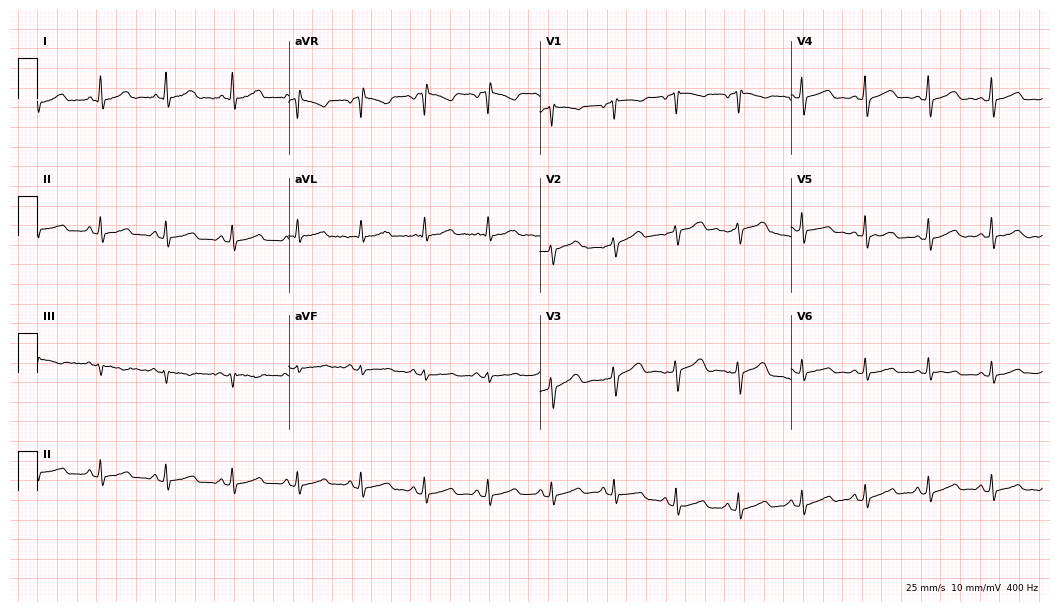
12-lead ECG from a woman, 44 years old. Labelled as a normal ECG.